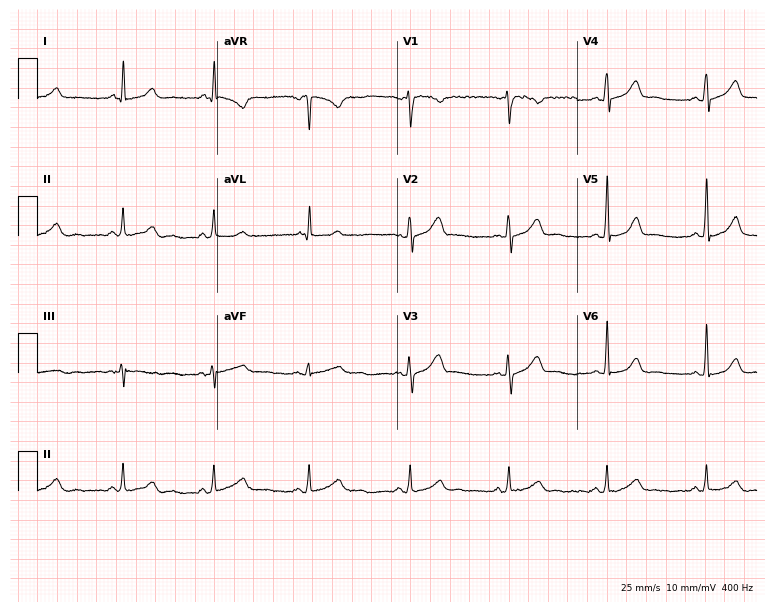
ECG — a woman, 42 years old. Screened for six findings — first-degree AV block, right bundle branch block, left bundle branch block, sinus bradycardia, atrial fibrillation, sinus tachycardia — none is recorded. Findings outside these six are not listed.